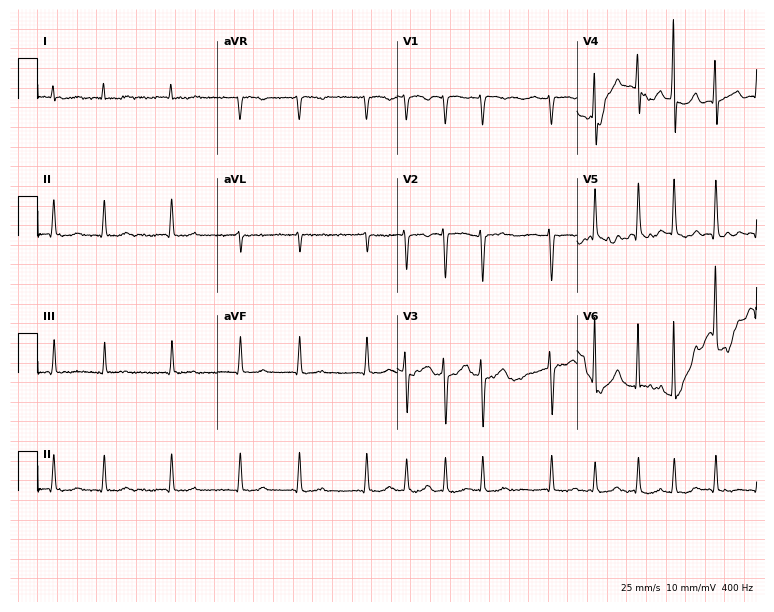
12-lead ECG from an 84-year-old female (7.3-second recording at 400 Hz). Shows atrial fibrillation.